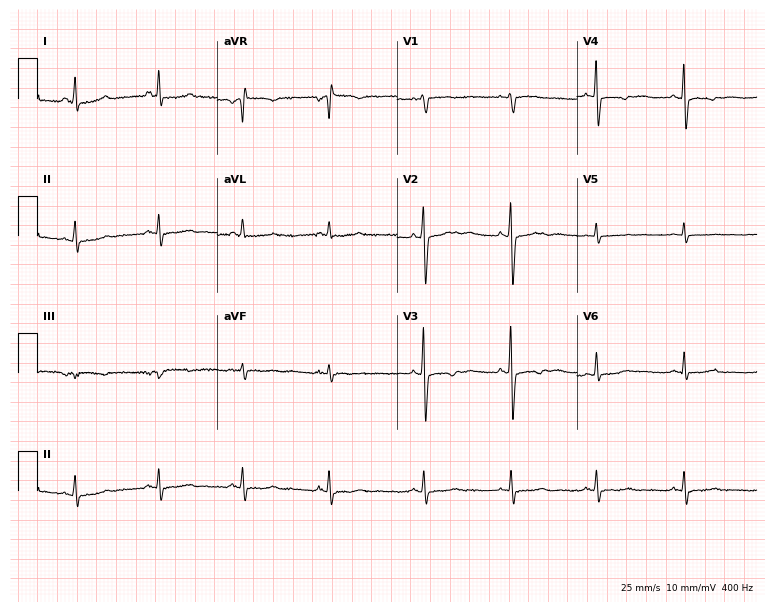
Resting 12-lead electrocardiogram. Patient: an 83-year-old woman. None of these six findings is recorded: first-degree AV block, right bundle branch block, left bundle branch block, sinus bradycardia, atrial fibrillation, sinus tachycardia.